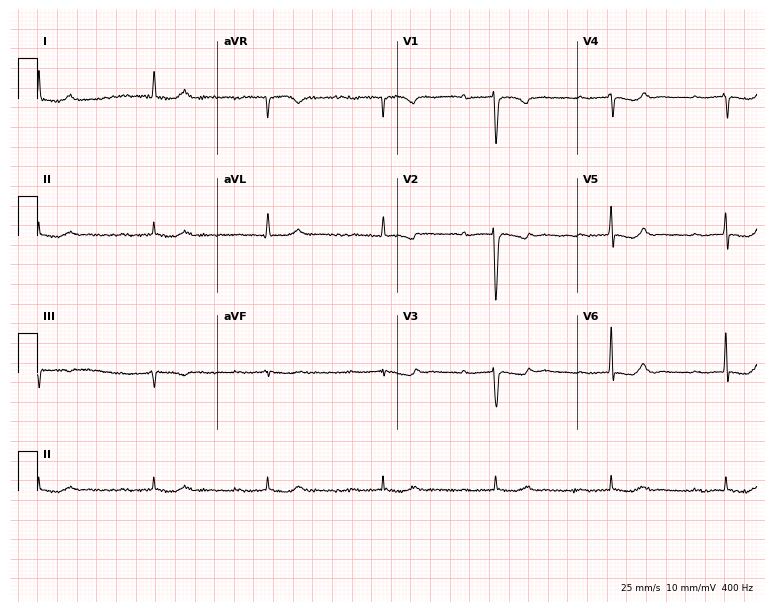
Standard 12-lead ECG recorded from a female patient, 78 years old (7.3-second recording at 400 Hz). The tracing shows first-degree AV block.